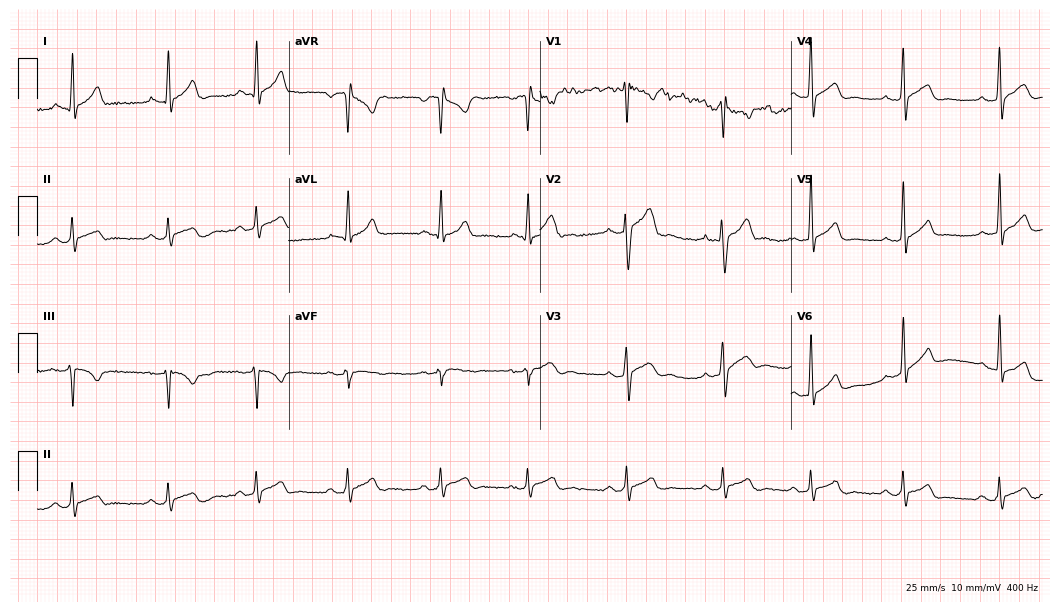
Standard 12-lead ECG recorded from a 20-year-old male patient (10.2-second recording at 400 Hz). None of these six findings is recorded: first-degree AV block, right bundle branch block, left bundle branch block, sinus bradycardia, atrial fibrillation, sinus tachycardia.